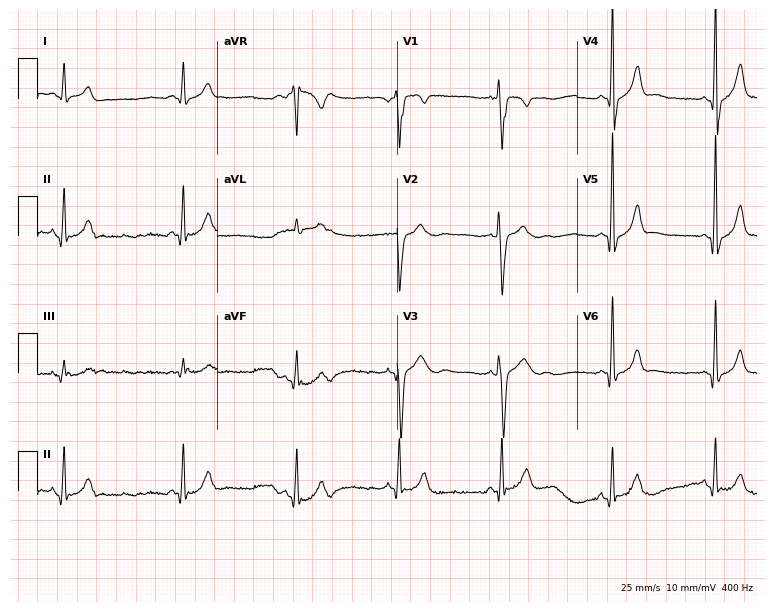
Electrocardiogram, a 17-year-old man. Of the six screened findings (first-degree AV block, right bundle branch block, left bundle branch block, sinus bradycardia, atrial fibrillation, sinus tachycardia), none is recorded.